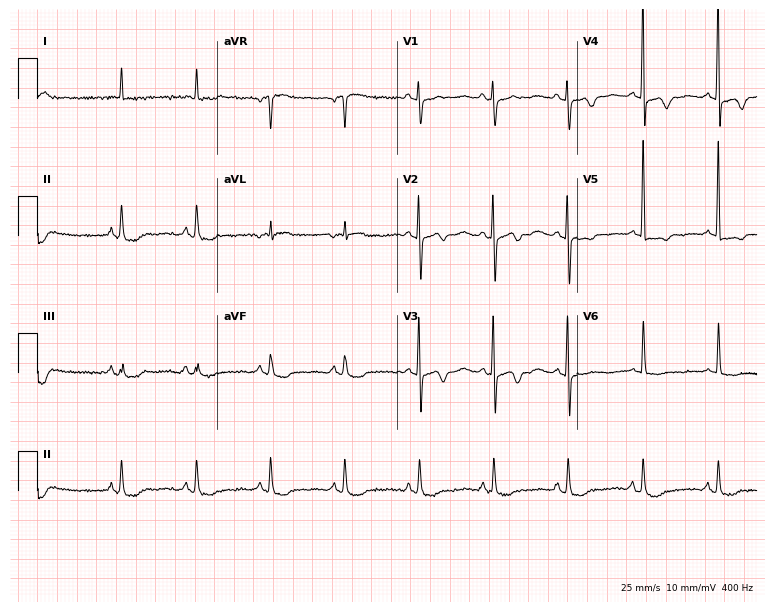
Resting 12-lead electrocardiogram. Patient: a female, 85 years old. None of these six findings is recorded: first-degree AV block, right bundle branch block, left bundle branch block, sinus bradycardia, atrial fibrillation, sinus tachycardia.